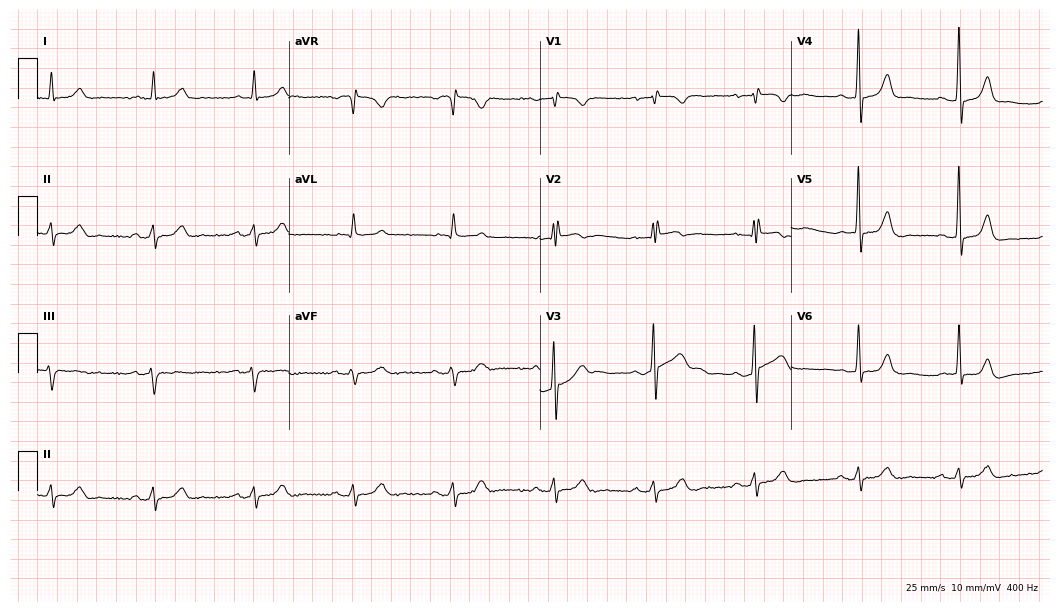
Standard 12-lead ECG recorded from a man, 77 years old (10.2-second recording at 400 Hz). None of these six findings is recorded: first-degree AV block, right bundle branch block, left bundle branch block, sinus bradycardia, atrial fibrillation, sinus tachycardia.